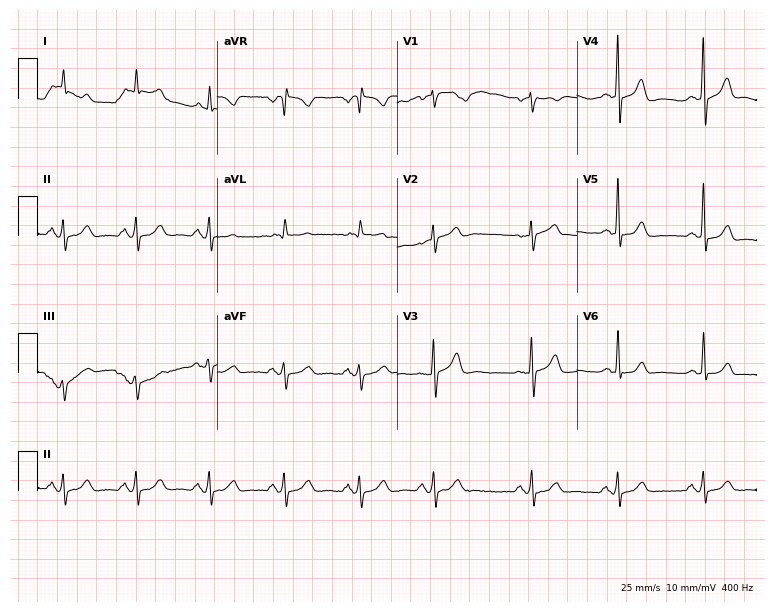
12-lead ECG (7.3-second recording at 400 Hz) from a 65-year-old male patient. Screened for six findings — first-degree AV block, right bundle branch block, left bundle branch block, sinus bradycardia, atrial fibrillation, sinus tachycardia — none is recorded.